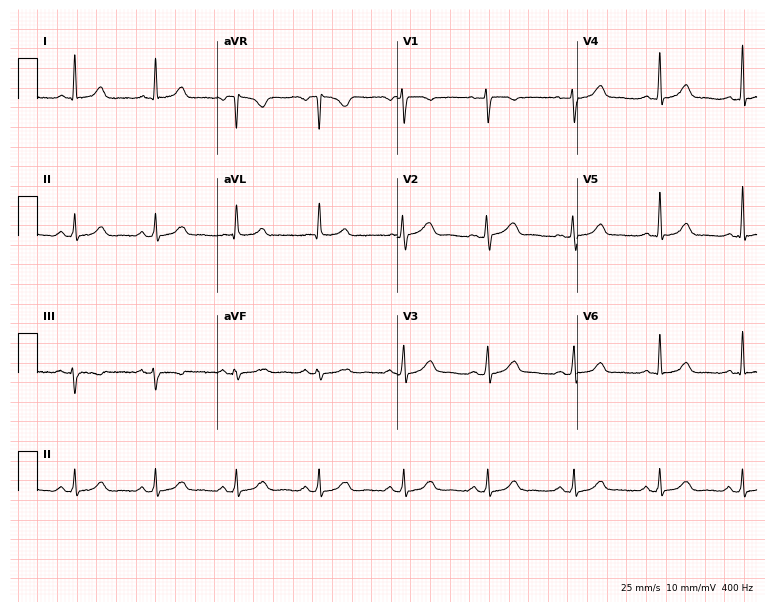
12-lead ECG (7.3-second recording at 400 Hz) from a female, 44 years old. Labelled as a normal ECG.